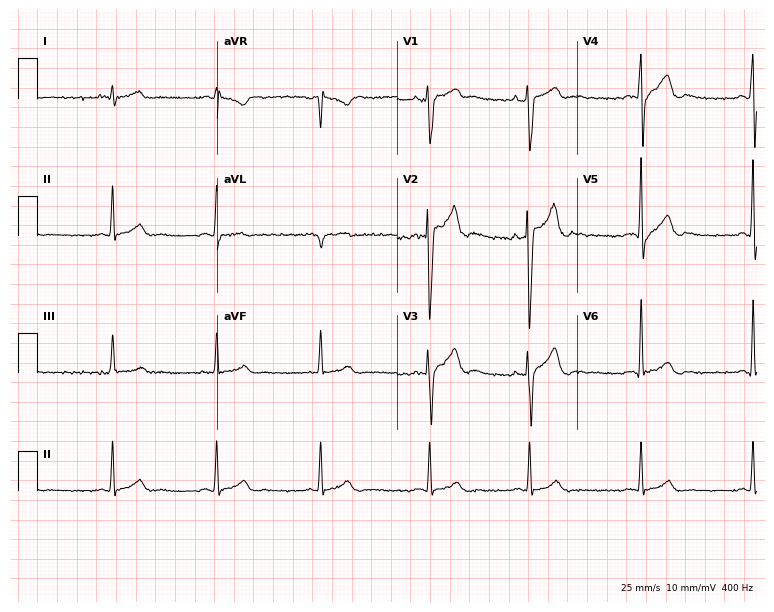
Electrocardiogram (7.3-second recording at 400 Hz), a 22-year-old male patient. Of the six screened findings (first-degree AV block, right bundle branch block (RBBB), left bundle branch block (LBBB), sinus bradycardia, atrial fibrillation (AF), sinus tachycardia), none is recorded. Other findings, if any, are not listed.